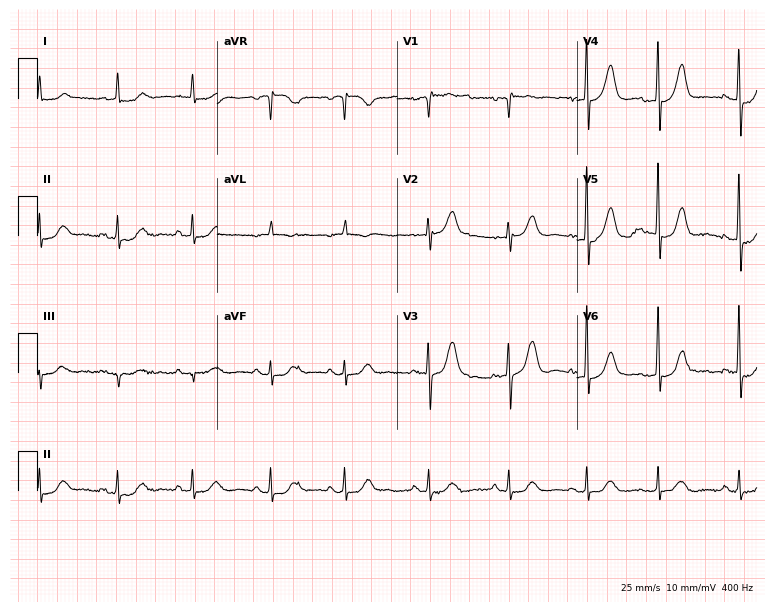
Standard 12-lead ECG recorded from a 75-year-old male. None of these six findings is recorded: first-degree AV block, right bundle branch block, left bundle branch block, sinus bradycardia, atrial fibrillation, sinus tachycardia.